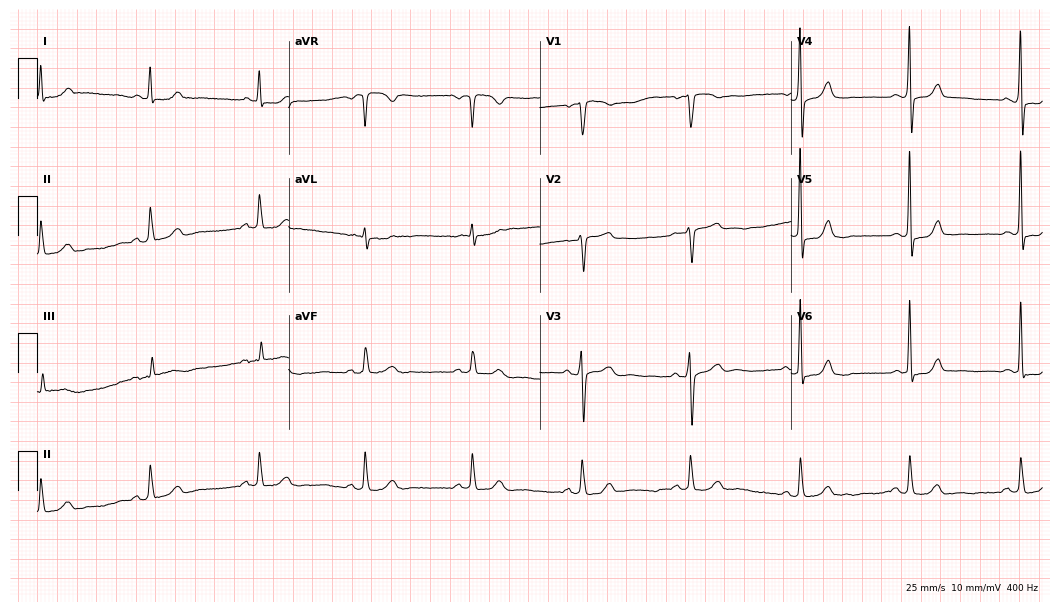
Standard 12-lead ECG recorded from a man, 76 years old. None of these six findings is recorded: first-degree AV block, right bundle branch block (RBBB), left bundle branch block (LBBB), sinus bradycardia, atrial fibrillation (AF), sinus tachycardia. Findings outside these six are not listed.